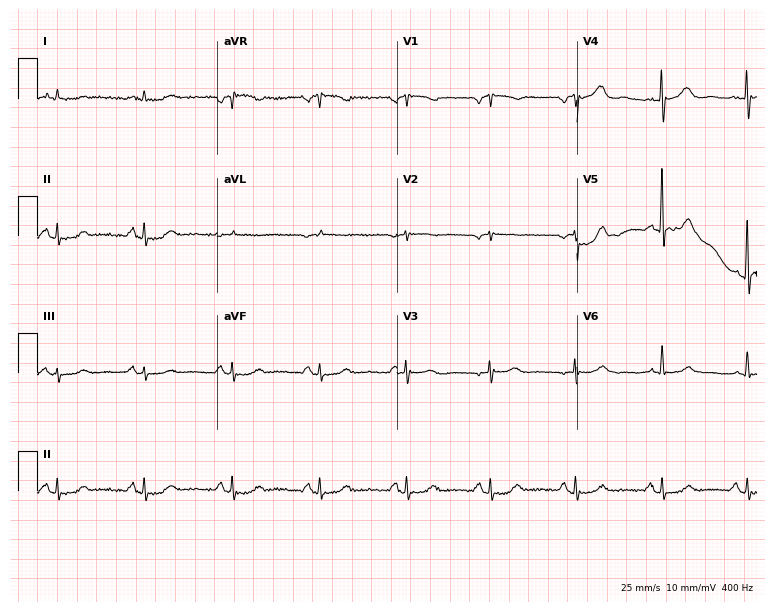
12-lead ECG from a man, 74 years old (7.3-second recording at 400 Hz). No first-degree AV block, right bundle branch block (RBBB), left bundle branch block (LBBB), sinus bradycardia, atrial fibrillation (AF) or sinus tachycardia recorded for this tracing.